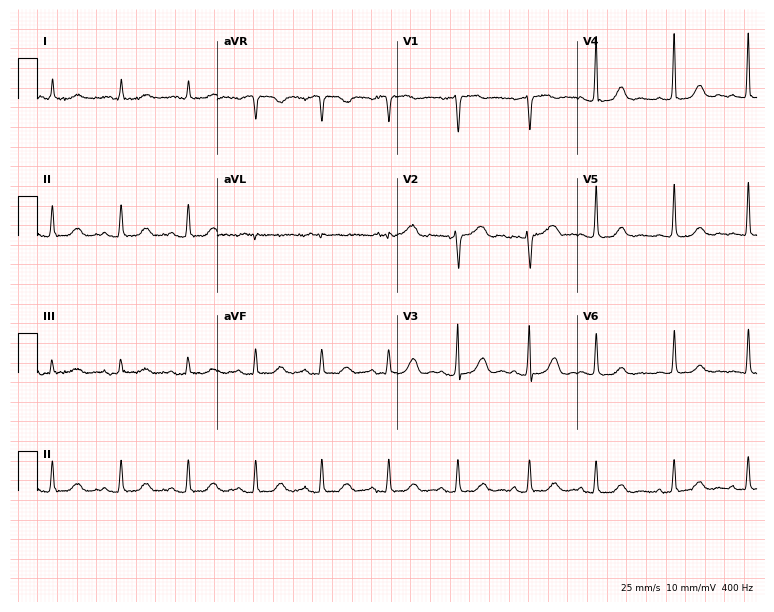
Resting 12-lead electrocardiogram. Patient: a female, 82 years old. None of these six findings is recorded: first-degree AV block, right bundle branch block, left bundle branch block, sinus bradycardia, atrial fibrillation, sinus tachycardia.